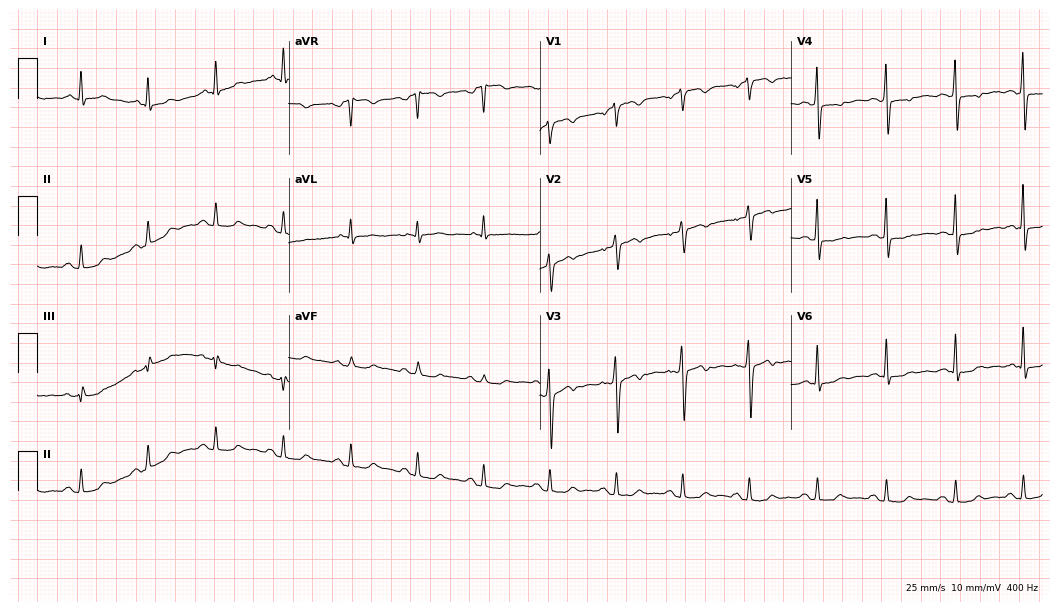
Standard 12-lead ECG recorded from a female patient, 47 years old (10.2-second recording at 400 Hz). None of these six findings is recorded: first-degree AV block, right bundle branch block (RBBB), left bundle branch block (LBBB), sinus bradycardia, atrial fibrillation (AF), sinus tachycardia.